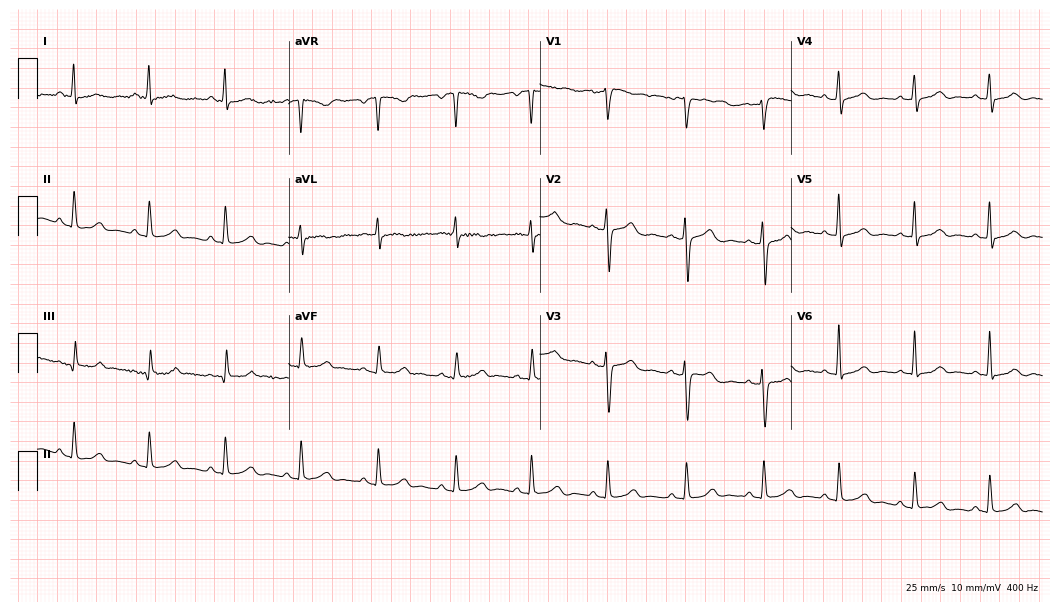
Electrocardiogram (10.2-second recording at 400 Hz), a female patient, 62 years old. Of the six screened findings (first-degree AV block, right bundle branch block, left bundle branch block, sinus bradycardia, atrial fibrillation, sinus tachycardia), none is recorded.